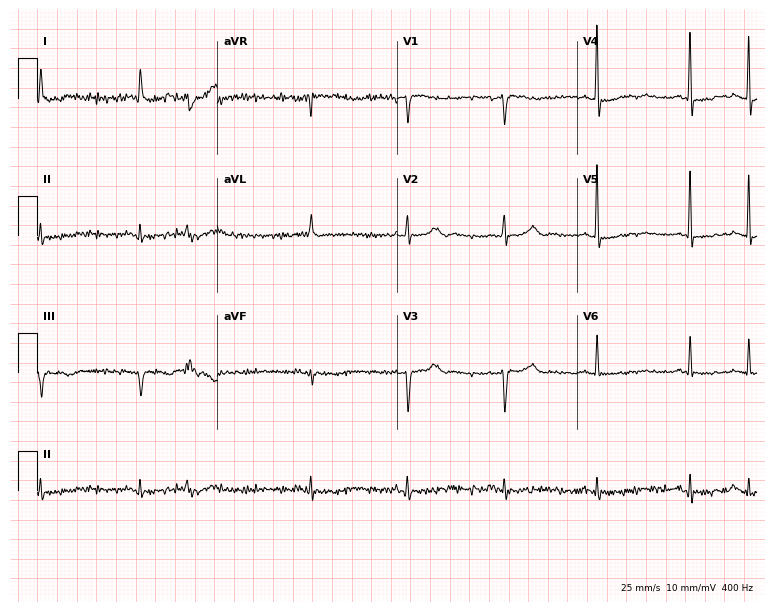
Resting 12-lead electrocardiogram (7.3-second recording at 400 Hz). Patient: a female, 64 years old. None of these six findings is recorded: first-degree AV block, right bundle branch block (RBBB), left bundle branch block (LBBB), sinus bradycardia, atrial fibrillation (AF), sinus tachycardia.